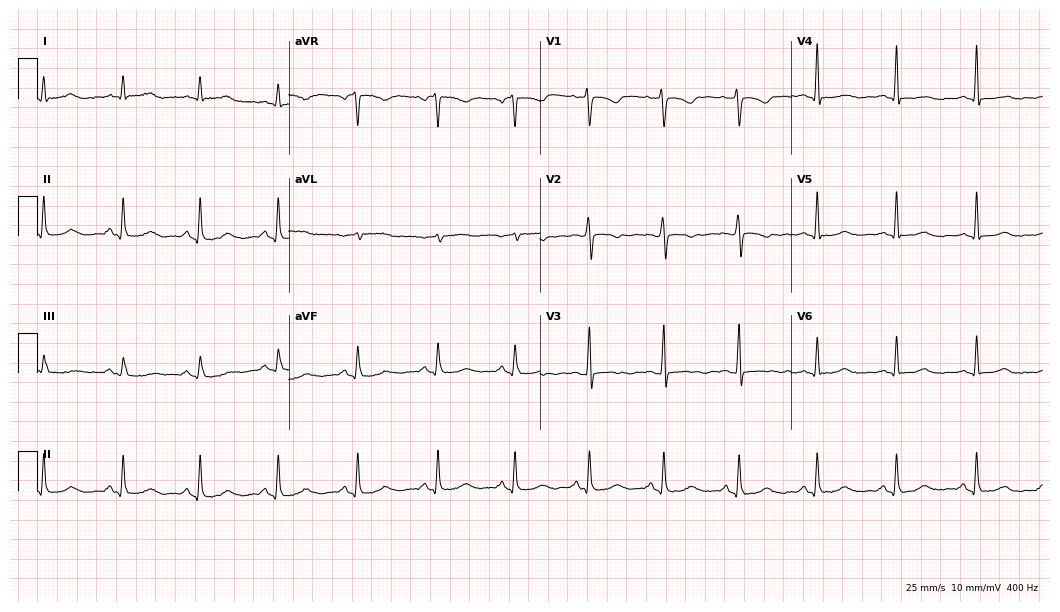
Standard 12-lead ECG recorded from a 46-year-old female. None of these six findings is recorded: first-degree AV block, right bundle branch block, left bundle branch block, sinus bradycardia, atrial fibrillation, sinus tachycardia.